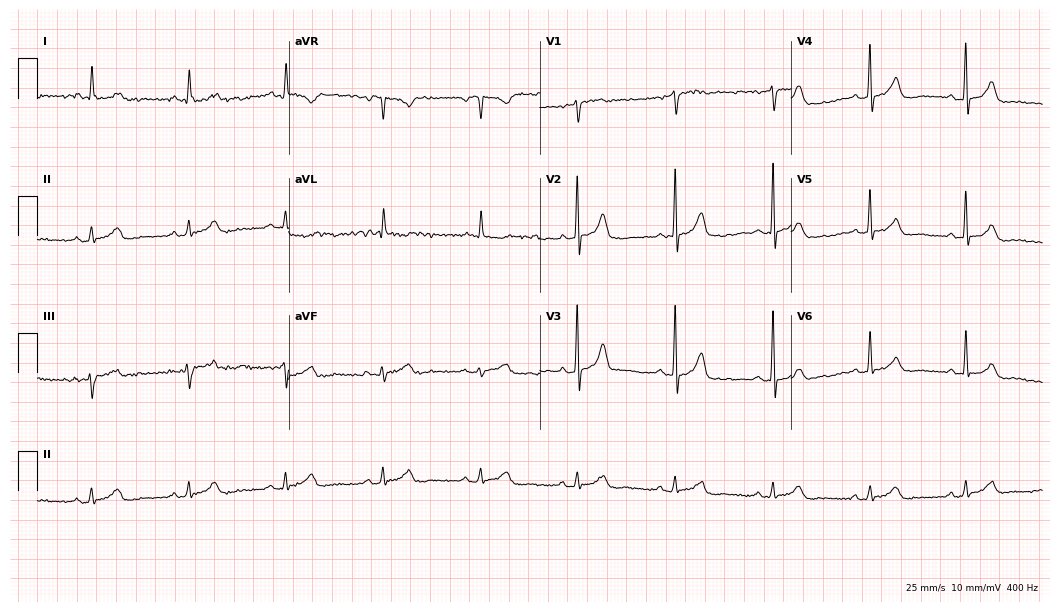
Standard 12-lead ECG recorded from a male patient, 74 years old (10.2-second recording at 400 Hz). Read as a normal ECG.